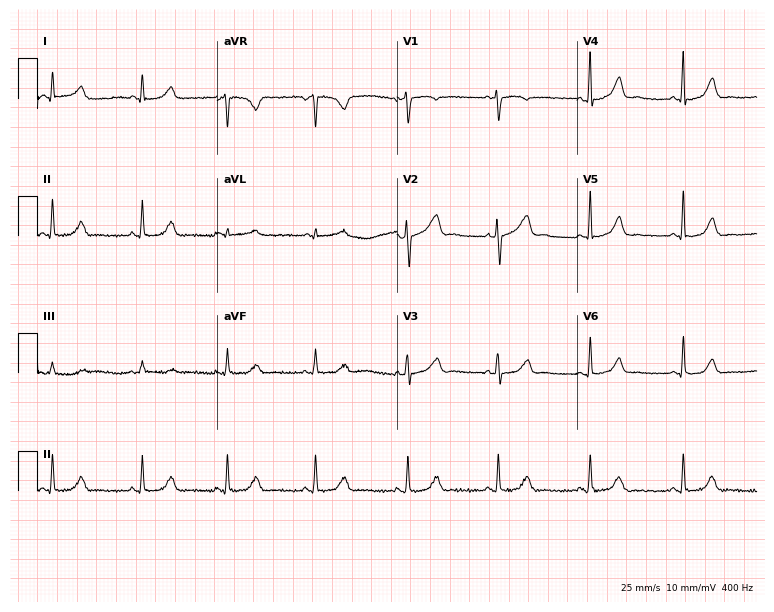
12-lead ECG (7.3-second recording at 400 Hz) from a 48-year-old man. Labelled as a normal ECG.